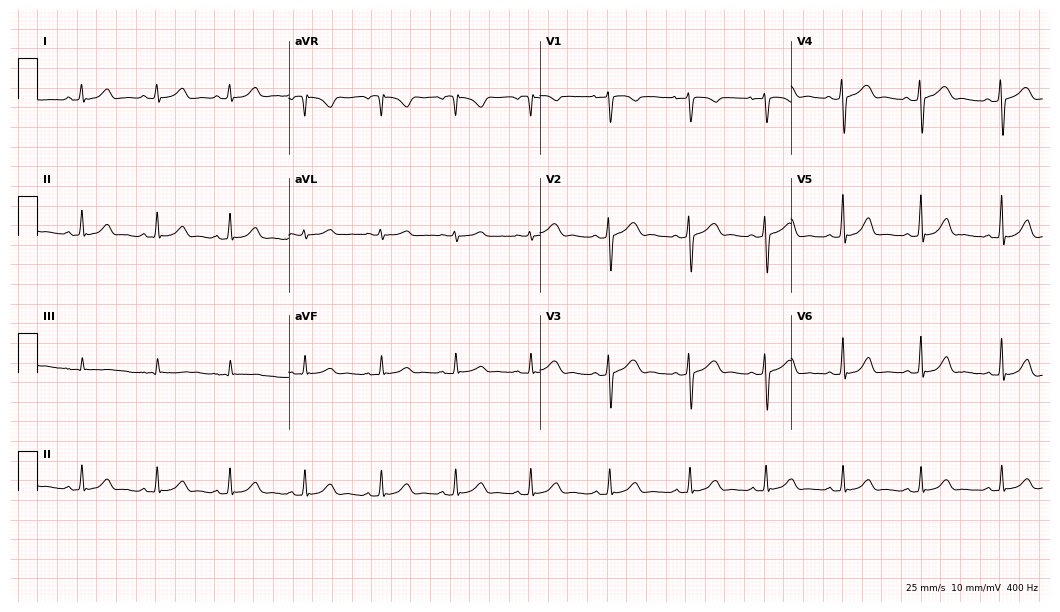
12-lead ECG (10.2-second recording at 400 Hz) from a woman, 22 years old. Screened for six findings — first-degree AV block, right bundle branch block, left bundle branch block, sinus bradycardia, atrial fibrillation, sinus tachycardia — none is recorded. Other findings, if any, are not listed.